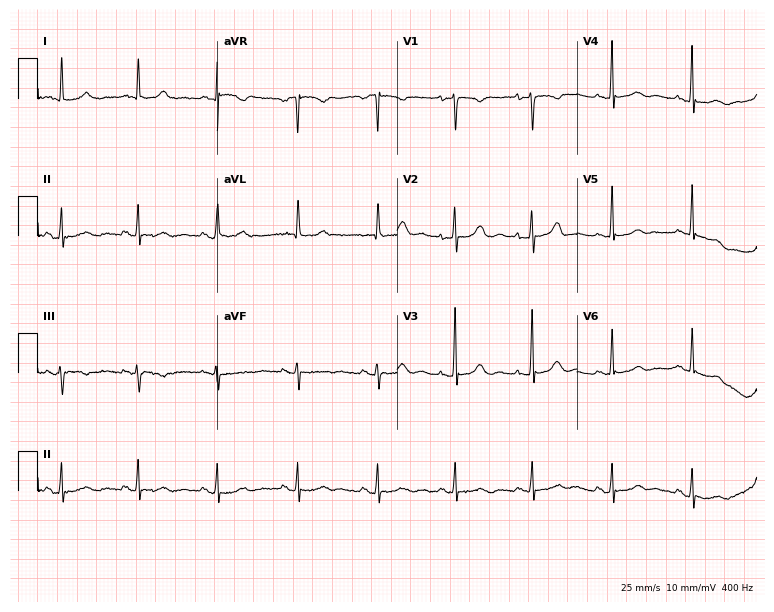
Electrocardiogram (7.3-second recording at 400 Hz), a 64-year-old woman. Of the six screened findings (first-degree AV block, right bundle branch block, left bundle branch block, sinus bradycardia, atrial fibrillation, sinus tachycardia), none is recorded.